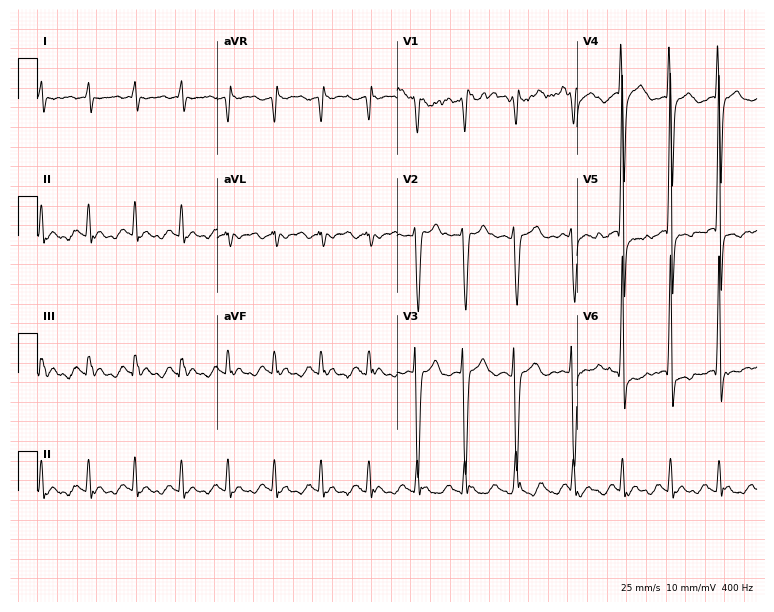
12-lead ECG from a 54-year-old man (7.3-second recording at 400 Hz). No first-degree AV block, right bundle branch block (RBBB), left bundle branch block (LBBB), sinus bradycardia, atrial fibrillation (AF) or sinus tachycardia recorded for this tracing.